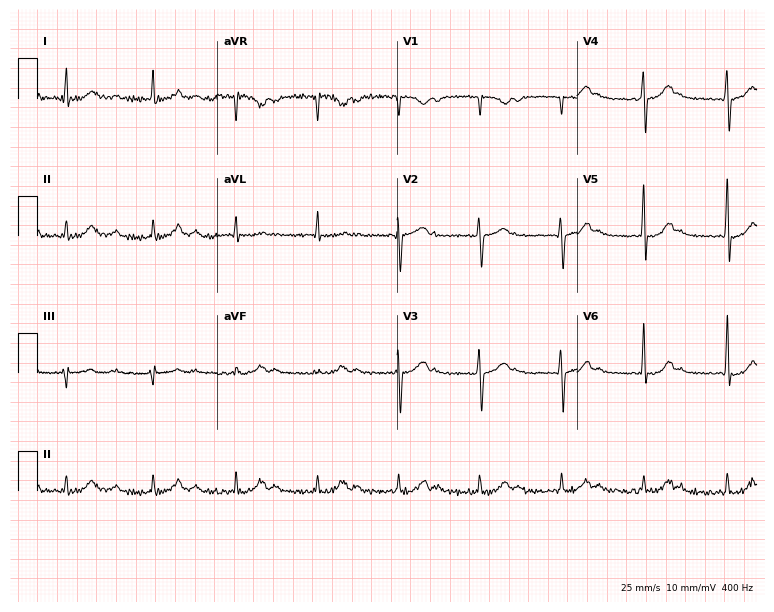
Resting 12-lead electrocardiogram (7.3-second recording at 400 Hz). Patient: a man, 75 years old. None of these six findings is recorded: first-degree AV block, right bundle branch block, left bundle branch block, sinus bradycardia, atrial fibrillation, sinus tachycardia.